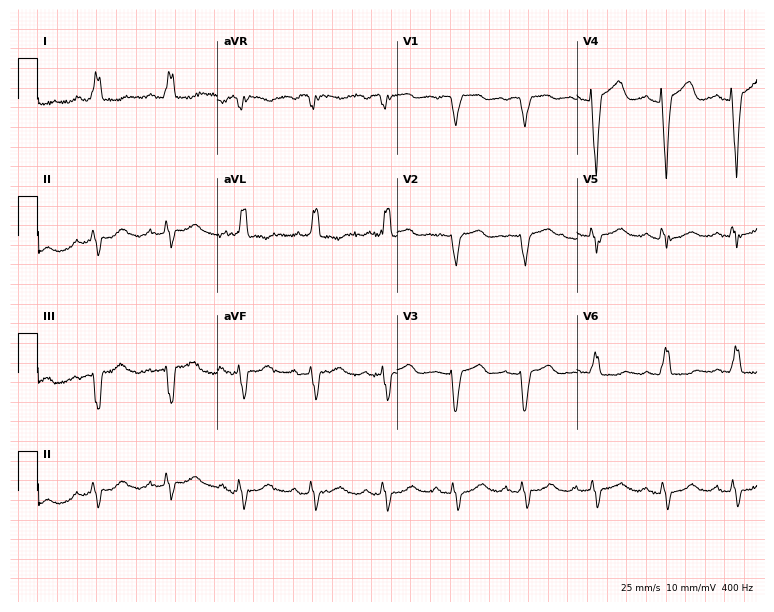
Resting 12-lead electrocardiogram (7.3-second recording at 400 Hz). Patient: an 80-year-old woman. The tracing shows left bundle branch block.